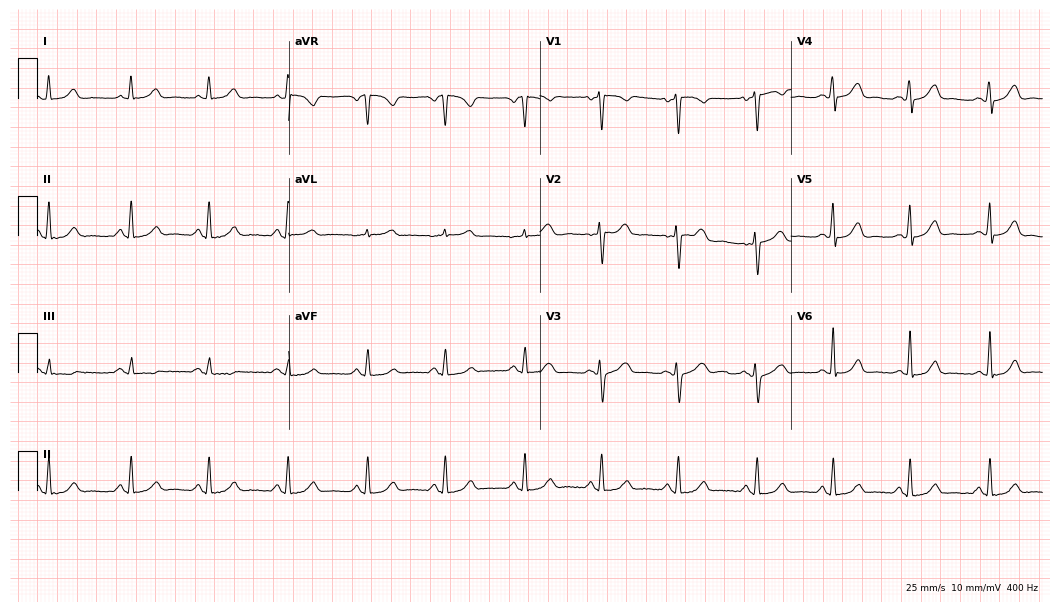
Resting 12-lead electrocardiogram (10.2-second recording at 400 Hz). Patient: a 29-year-old female. Read as a normal ECG.